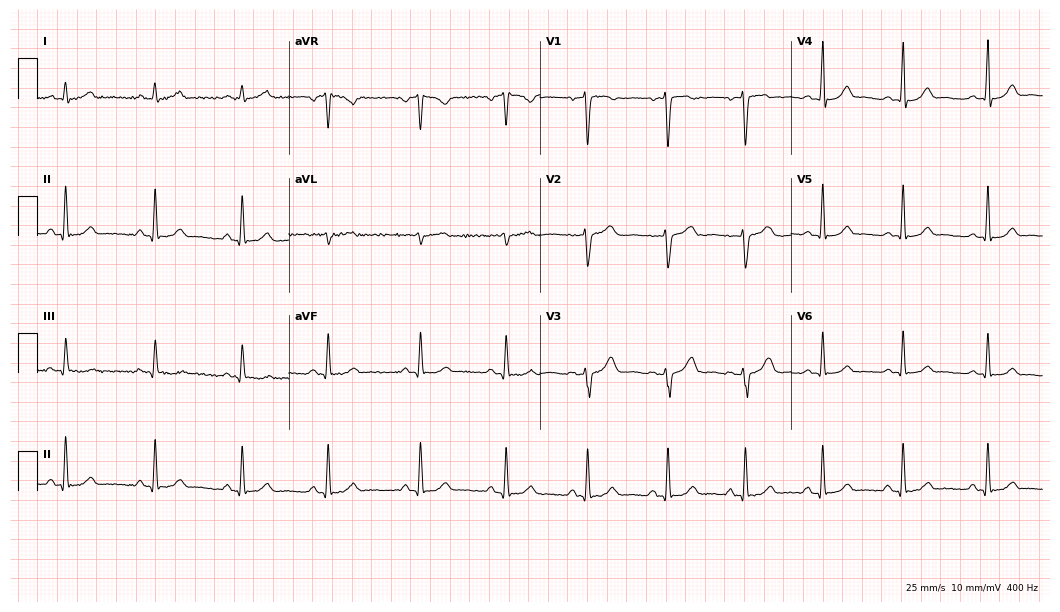
ECG — a 34-year-old female patient. Labelled as a normal ECG.